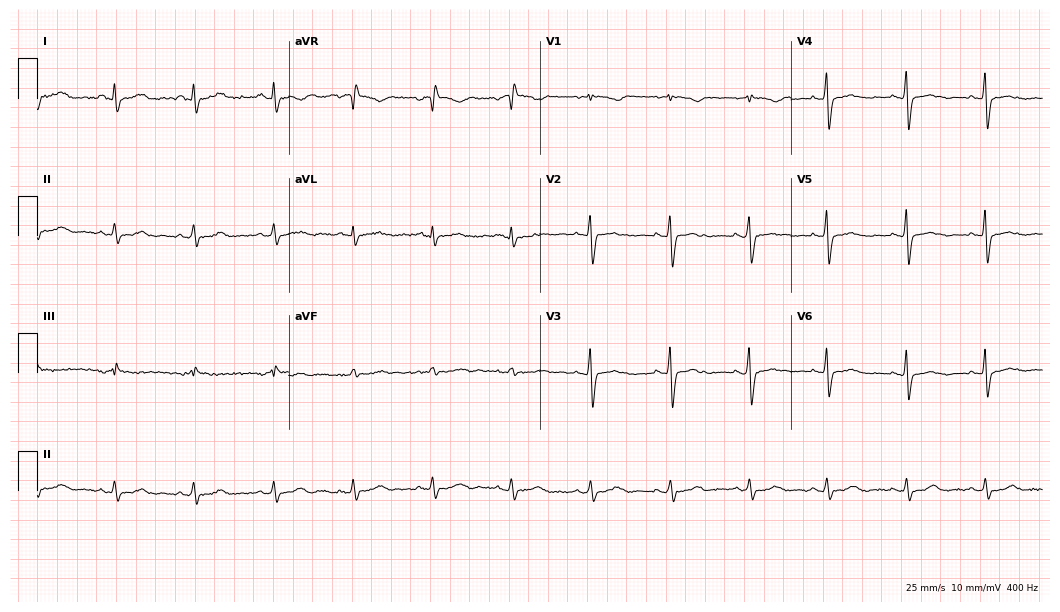
12-lead ECG from a female, 46 years old (10.2-second recording at 400 Hz). No first-degree AV block, right bundle branch block, left bundle branch block, sinus bradycardia, atrial fibrillation or sinus tachycardia recorded for this tracing.